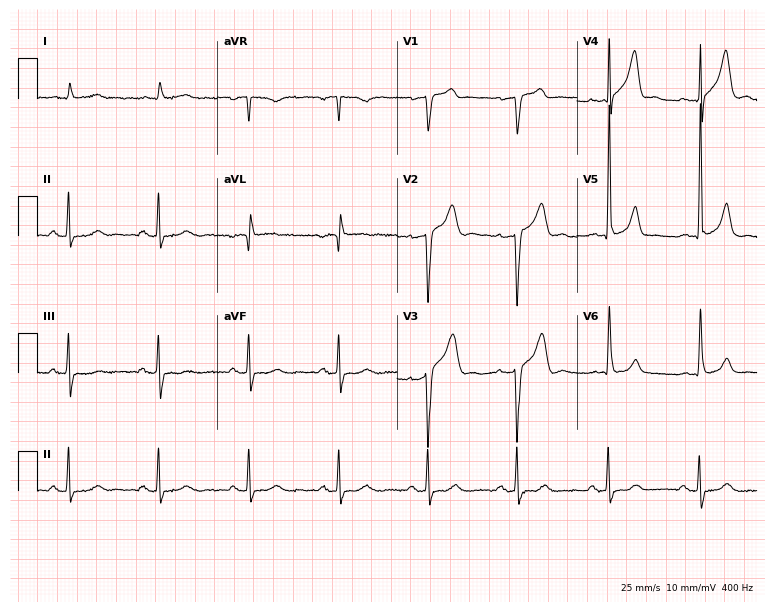
Electrocardiogram, a male, 78 years old. Of the six screened findings (first-degree AV block, right bundle branch block, left bundle branch block, sinus bradycardia, atrial fibrillation, sinus tachycardia), none is recorded.